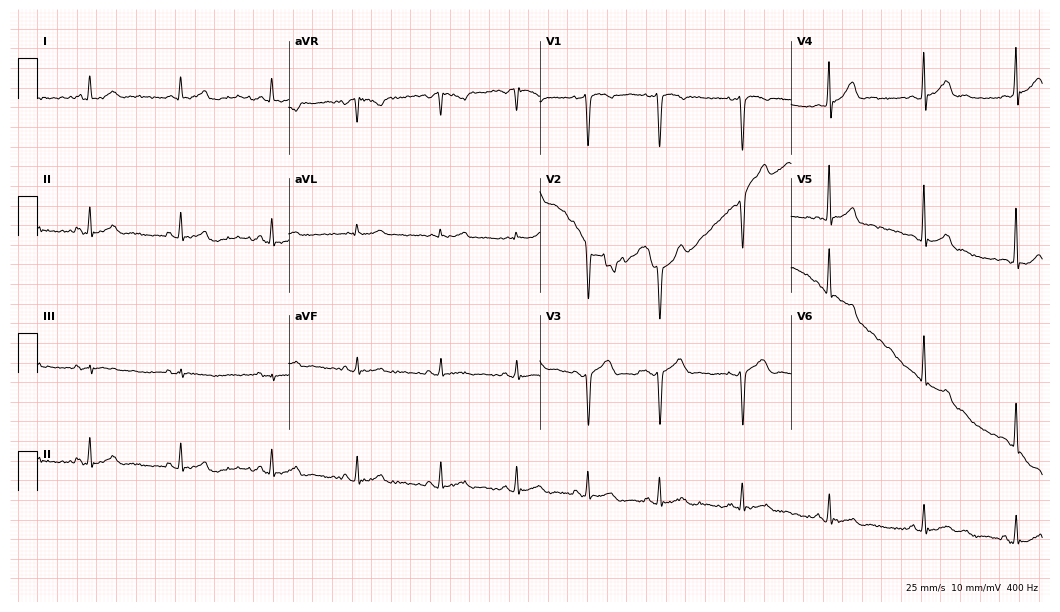
Standard 12-lead ECG recorded from a male, 31 years old (10.2-second recording at 400 Hz). Read as a normal ECG.